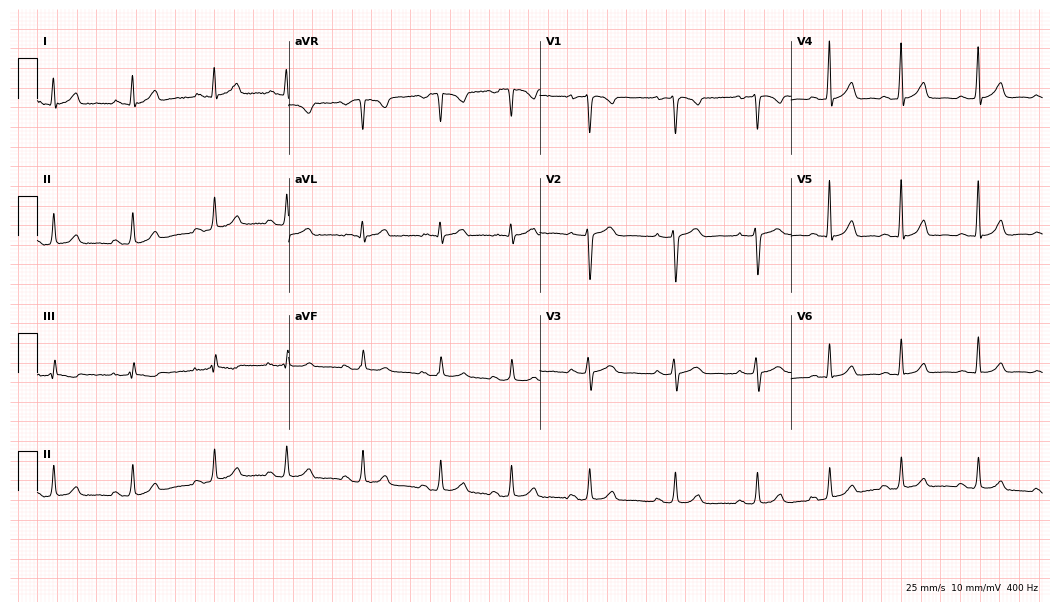
12-lead ECG from a woman, 29 years old (10.2-second recording at 400 Hz). Recorded interpretation: within normal limits.